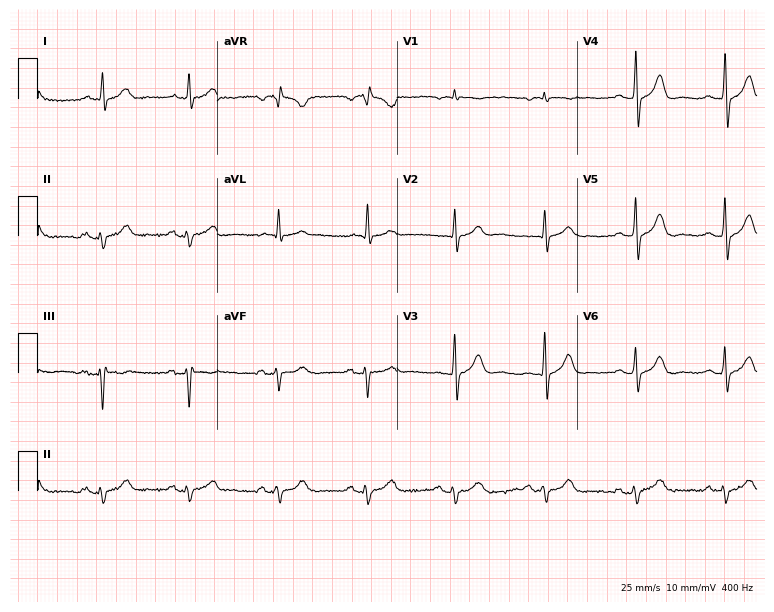
ECG (7.3-second recording at 400 Hz) — a male patient, 61 years old. Screened for six findings — first-degree AV block, right bundle branch block, left bundle branch block, sinus bradycardia, atrial fibrillation, sinus tachycardia — none is recorded. Findings outside these six are not listed.